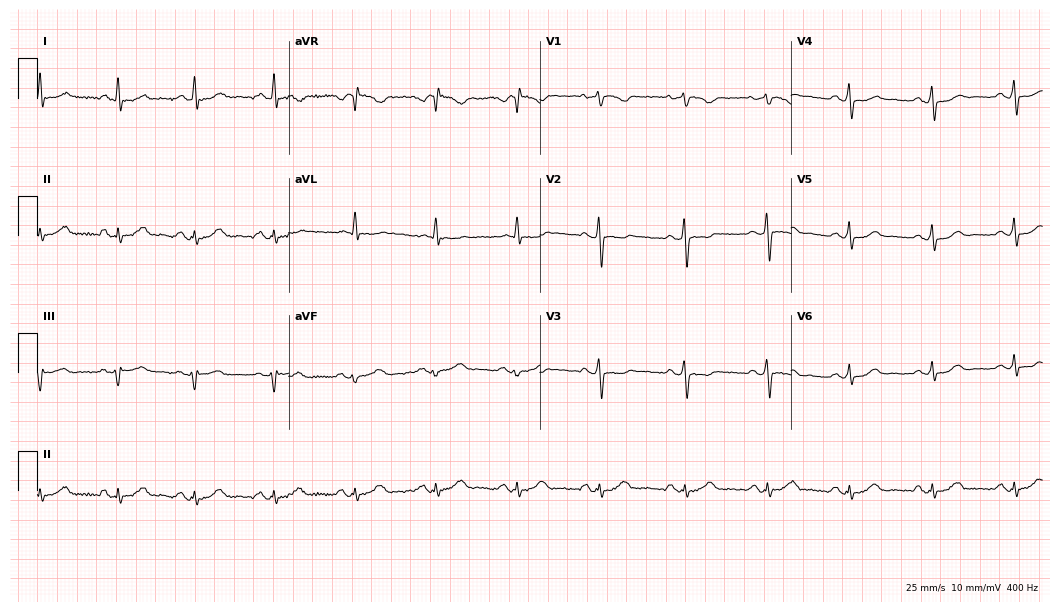
Resting 12-lead electrocardiogram. Patient: a 58-year-old female. Read as a normal ECG.